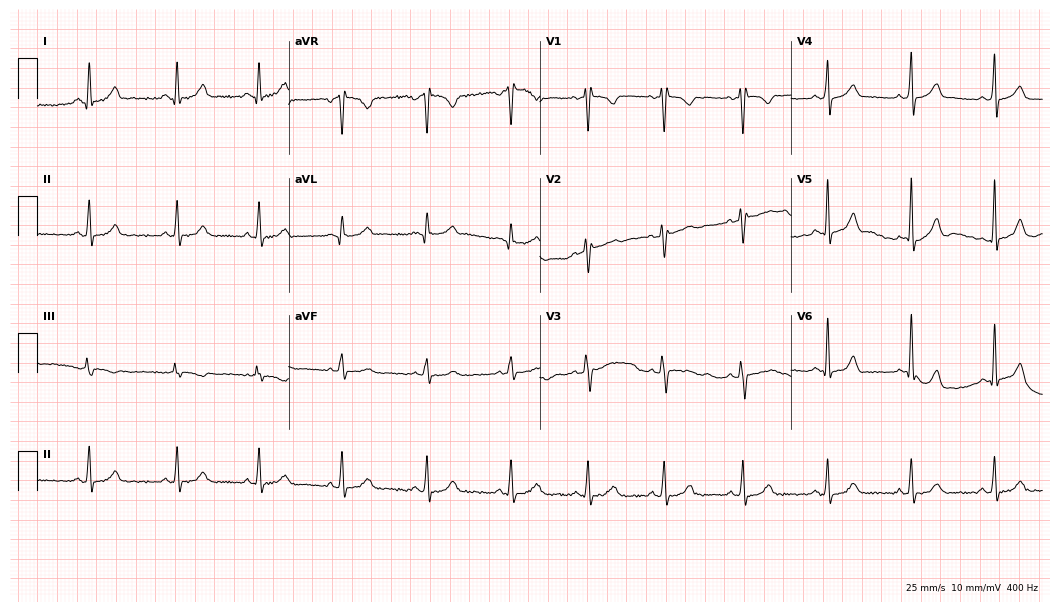
12-lead ECG from a woman, 23 years old. Recorded interpretation: within normal limits.